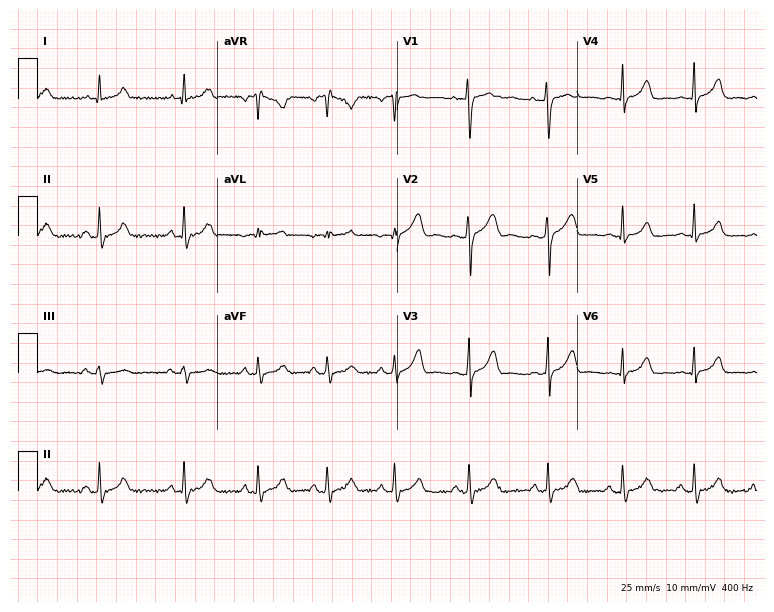
Standard 12-lead ECG recorded from a 23-year-old female. None of these six findings is recorded: first-degree AV block, right bundle branch block (RBBB), left bundle branch block (LBBB), sinus bradycardia, atrial fibrillation (AF), sinus tachycardia. Findings outside these six are not listed.